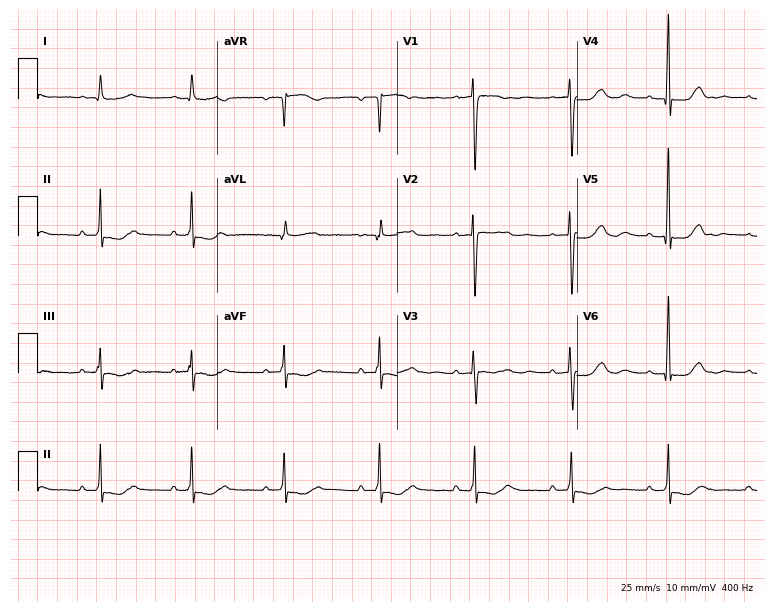
ECG (7.3-second recording at 400 Hz) — a 74-year-old female. Screened for six findings — first-degree AV block, right bundle branch block, left bundle branch block, sinus bradycardia, atrial fibrillation, sinus tachycardia — none is recorded.